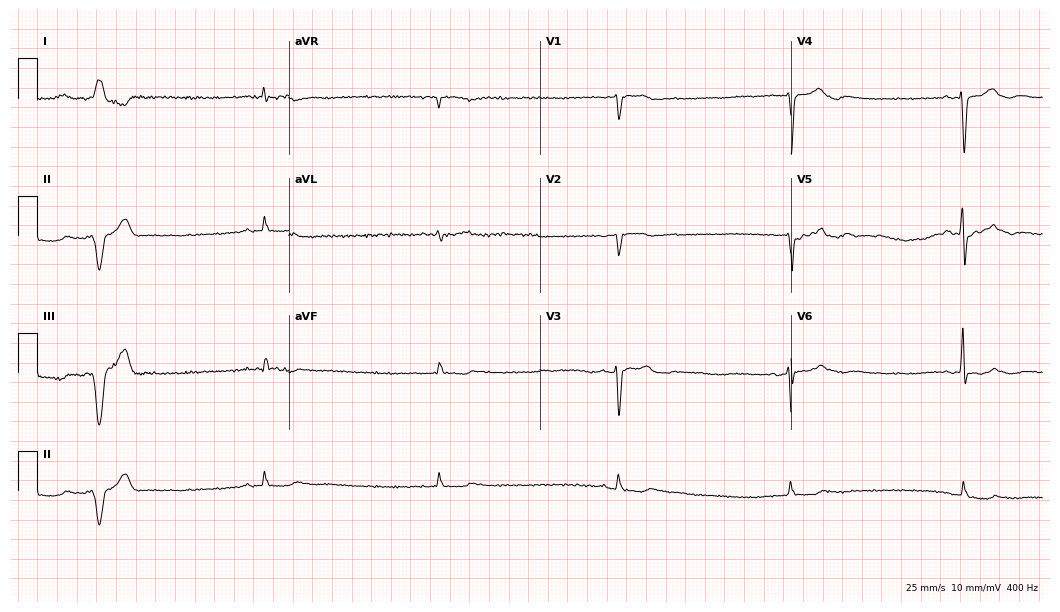
Electrocardiogram, a male, 32 years old. Of the six screened findings (first-degree AV block, right bundle branch block, left bundle branch block, sinus bradycardia, atrial fibrillation, sinus tachycardia), none is recorded. Other findings, if any, are not listed.